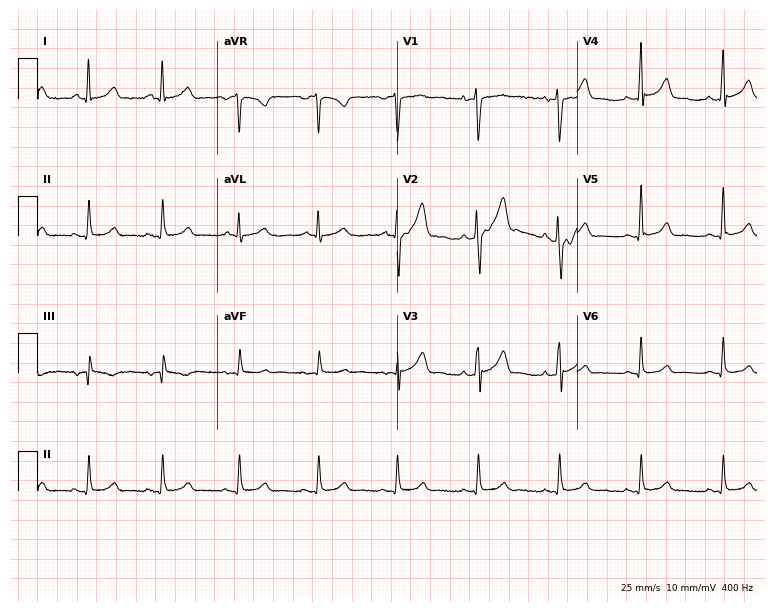
12-lead ECG from a male patient, 43 years old. Recorded interpretation: within normal limits.